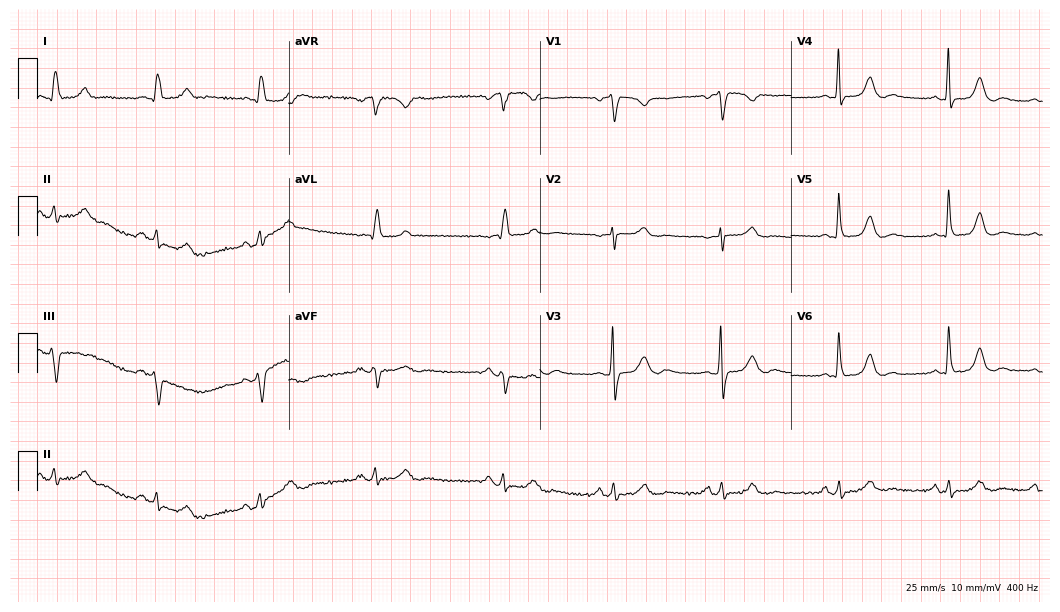
Resting 12-lead electrocardiogram. Patient: a 64-year-old woman. None of these six findings is recorded: first-degree AV block, right bundle branch block, left bundle branch block, sinus bradycardia, atrial fibrillation, sinus tachycardia.